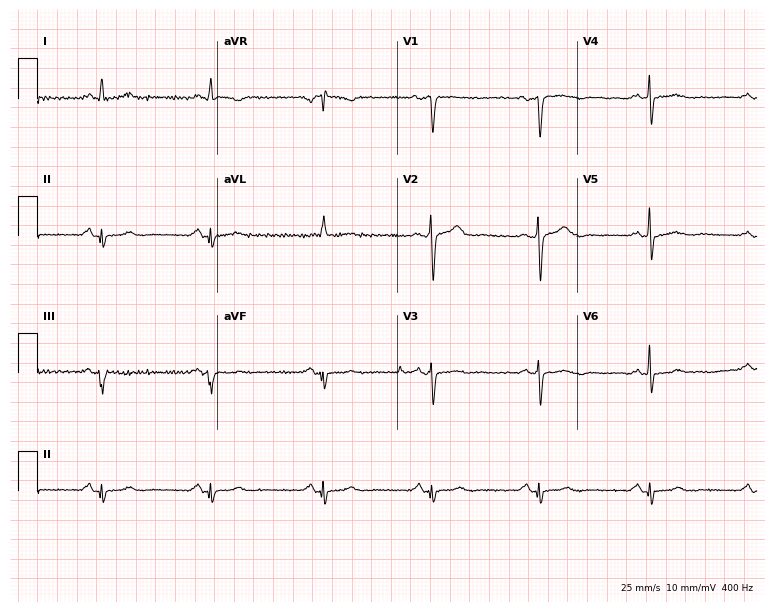
Electrocardiogram (7.3-second recording at 400 Hz), a male, 69 years old. Of the six screened findings (first-degree AV block, right bundle branch block (RBBB), left bundle branch block (LBBB), sinus bradycardia, atrial fibrillation (AF), sinus tachycardia), none is recorded. Other findings, if any, are not listed.